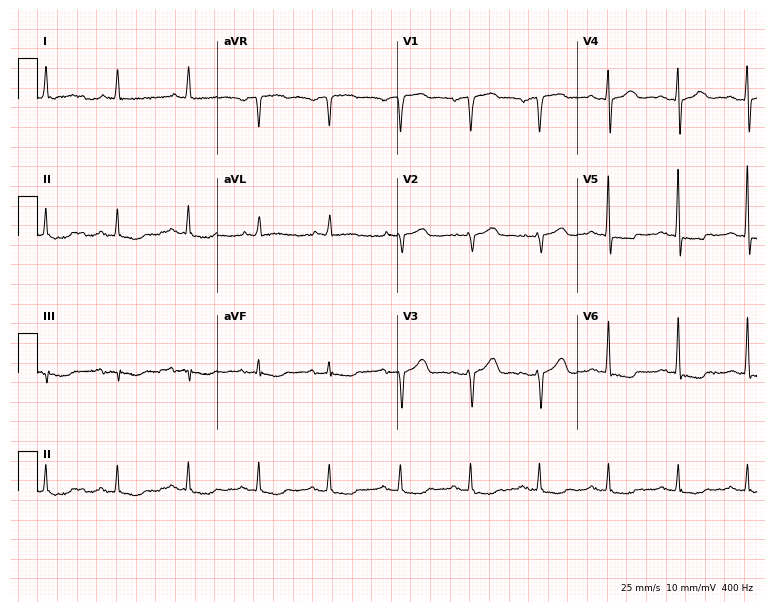
12-lead ECG from a man, 74 years old. Screened for six findings — first-degree AV block, right bundle branch block, left bundle branch block, sinus bradycardia, atrial fibrillation, sinus tachycardia — none is recorded. Other findings, if any, are not listed.